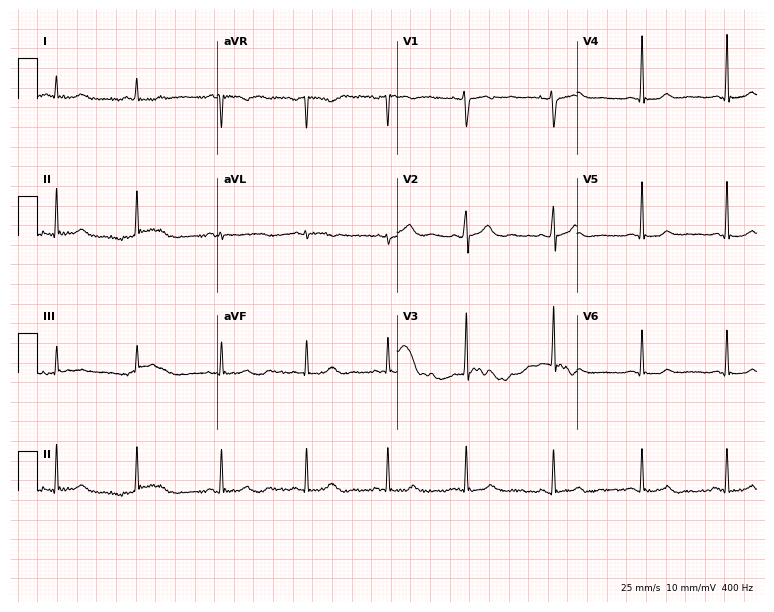
ECG — a female, 36 years old. Screened for six findings — first-degree AV block, right bundle branch block (RBBB), left bundle branch block (LBBB), sinus bradycardia, atrial fibrillation (AF), sinus tachycardia — none is recorded. Only these six findings were labelled.